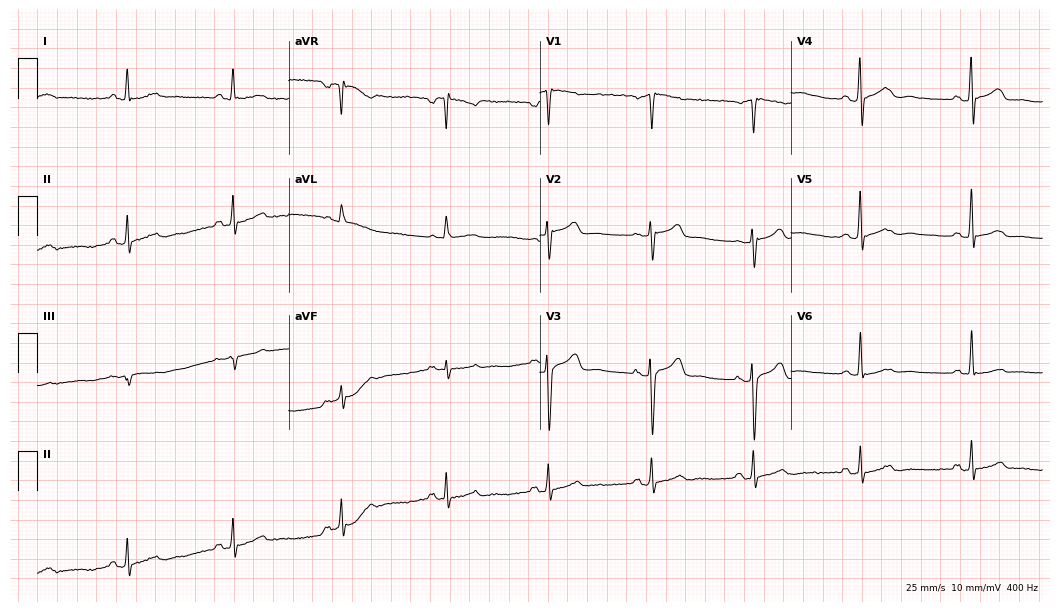
Standard 12-lead ECG recorded from a 55-year-old male (10.2-second recording at 400 Hz). Read as a normal ECG.